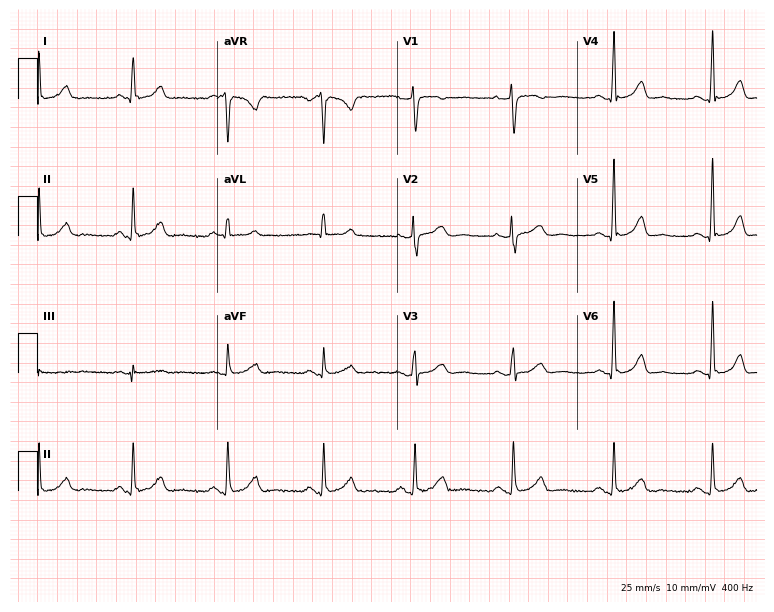
Standard 12-lead ECG recorded from a 58-year-old female (7.3-second recording at 400 Hz). Read as a normal ECG.